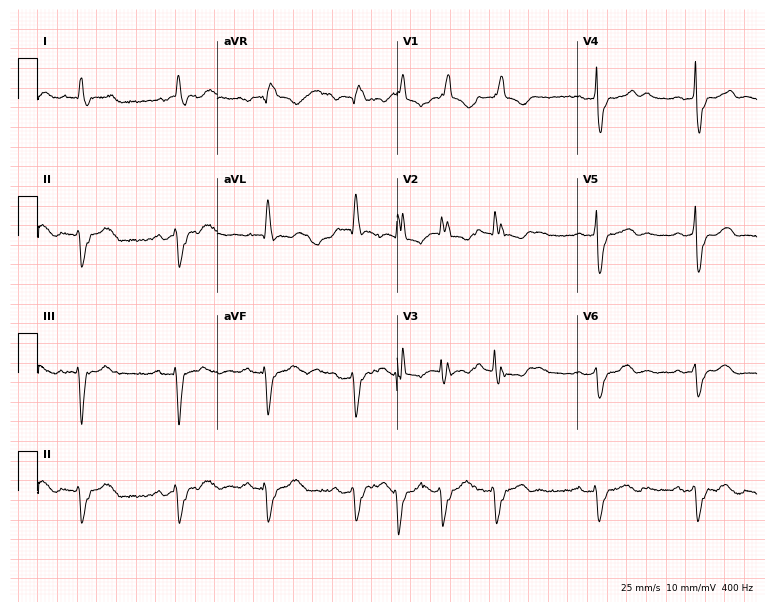
Standard 12-lead ECG recorded from a 75-year-old woman (7.3-second recording at 400 Hz). The tracing shows right bundle branch block (RBBB).